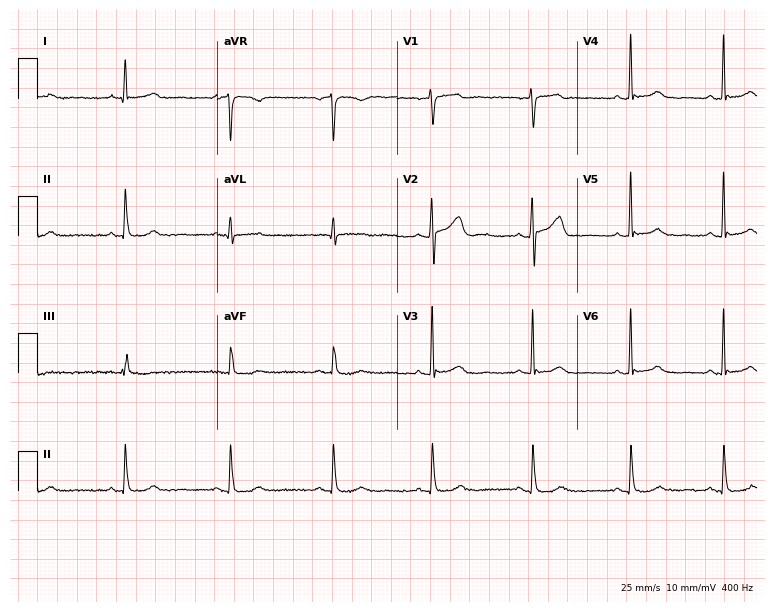
12-lead ECG from a 65-year-old female. No first-degree AV block, right bundle branch block, left bundle branch block, sinus bradycardia, atrial fibrillation or sinus tachycardia recorded for this tracing.